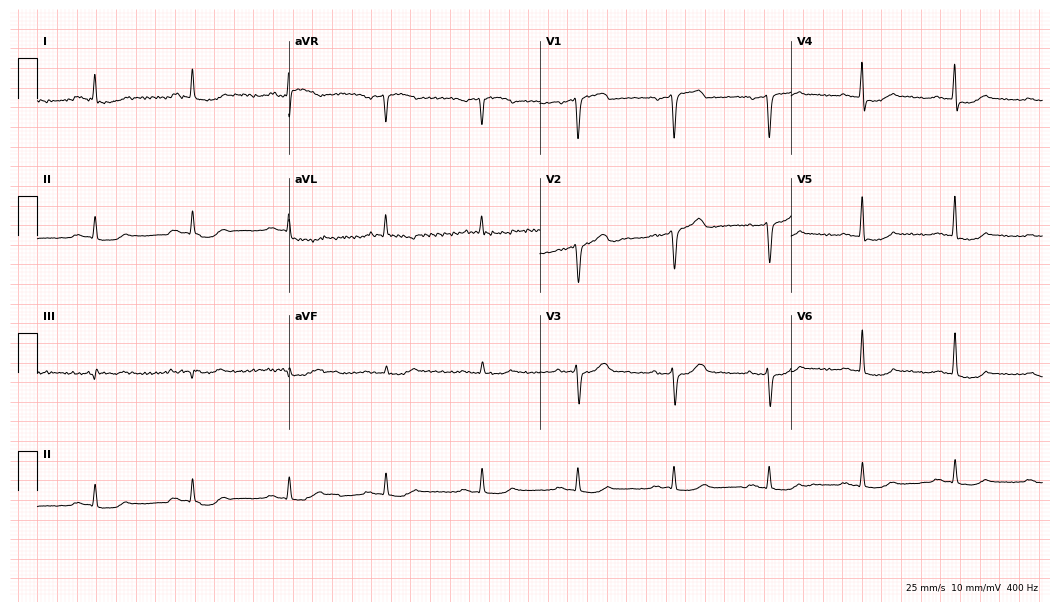
12-lead ECG from a 79-year-old male (10.2-second recording at 400 Hz). No first-degree AV block, right bundle branch block (RBBB), left bundle branch block (LBBB), sinus bradycardia, atrial fibrillation (AF) or sinus tachycardia recorded for this tracing. Other findings, if any, are not listed.